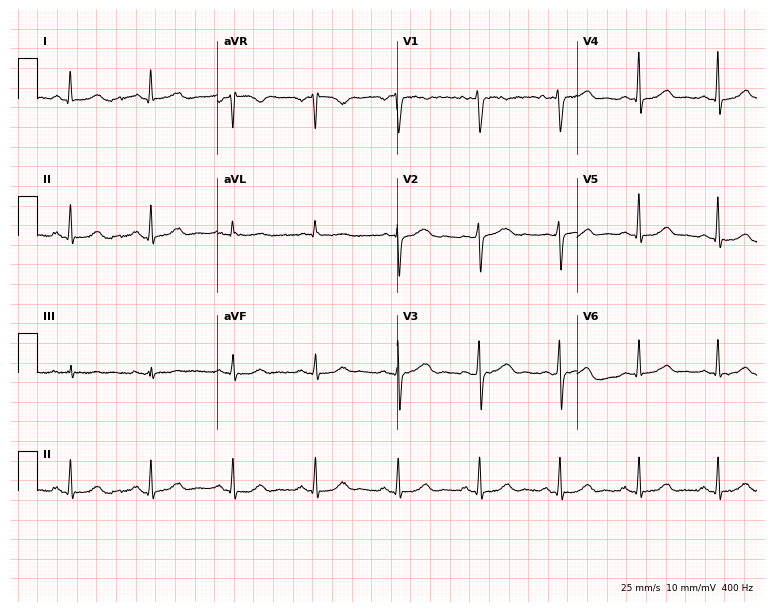
12-lead ECG from a 56-year-old woman (7.3-second recording at 400 Hz). Recorded interpretation: within normal limits.